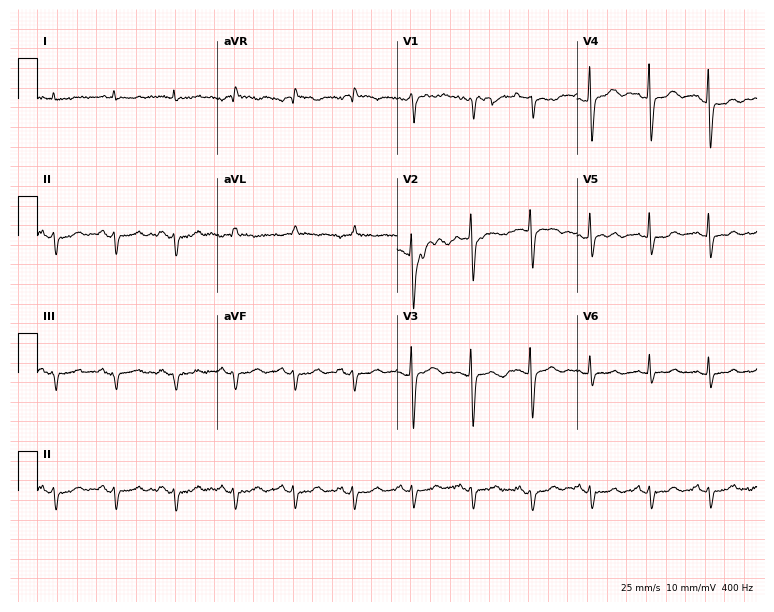
Standard 12-lead ECG recorded from a 71-year-old female patient. None of these six findings is recorded: first-degree AV block, right bundle branch block, left bundle branch block, sinus bradycardia, atrial fibrillation, sinus tachycardia. Findings outside these six are not listed.